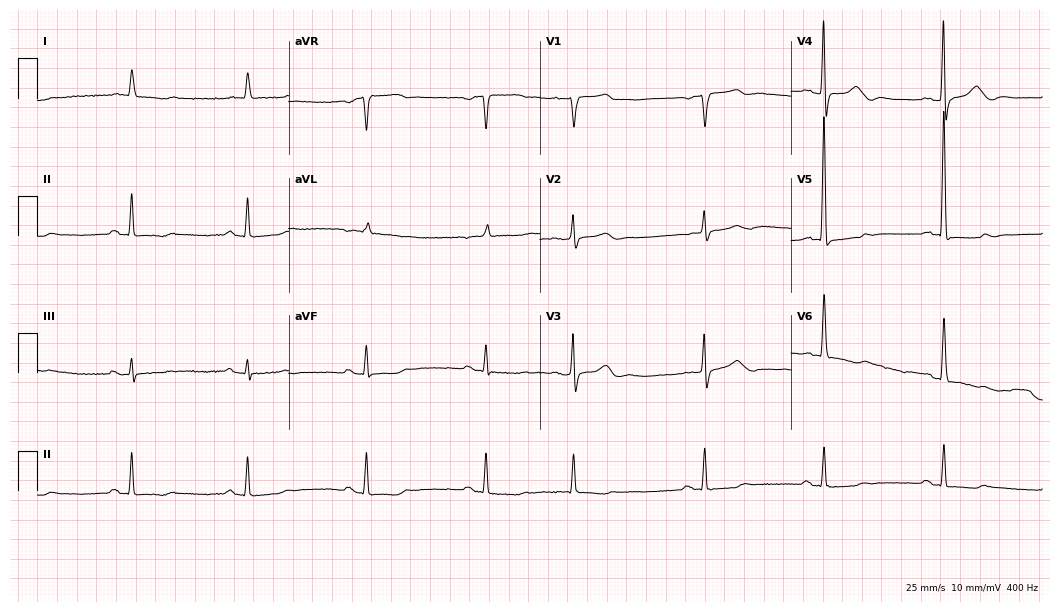
12-lead ECG from a female, 85 years old. No first-degree AV block, right bundle branch block, left bundle branch block, sinus bradycardia, atrial fibrillation or sinus tachycardia recorded for this tracing. Findings outside these six are not listed.